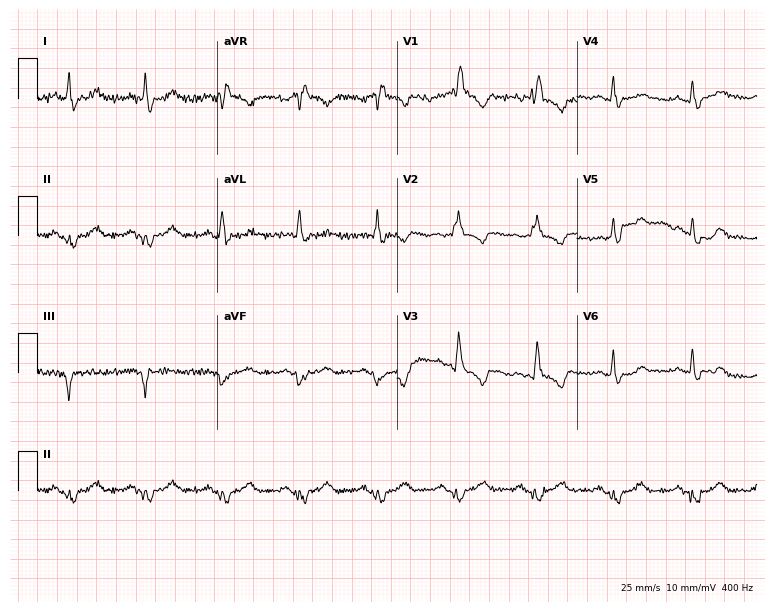
12-lead ECG from a 67-year-old male (7.3-second recording at 400 Hz). Shows right bundle branch block.